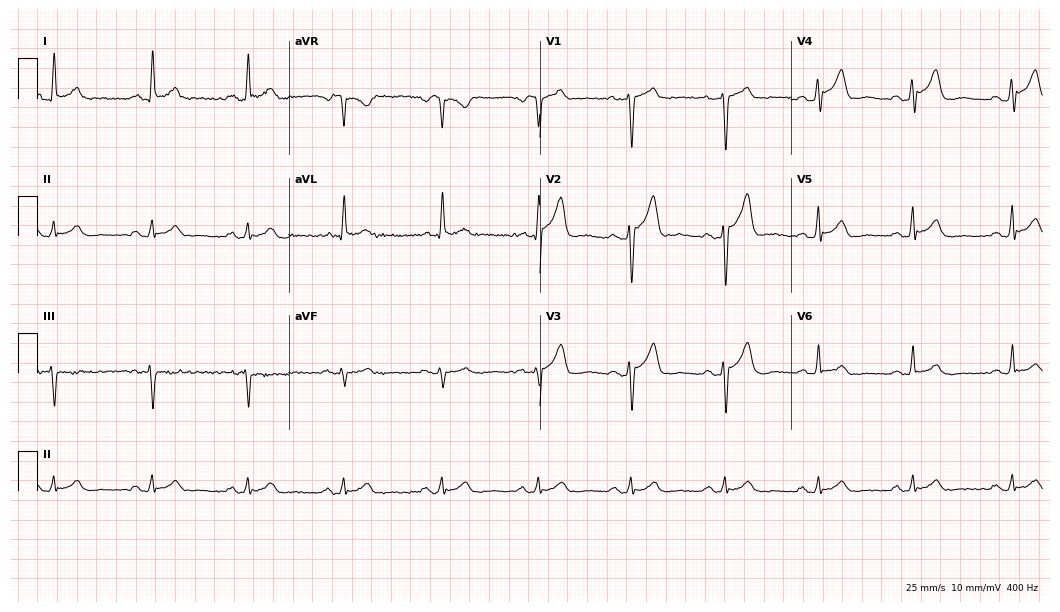
Standard 12-lead ECG recorded from a 49-year-old man (10.2-second recording at 400 Hz). None of these six findings is recorded: first-degree AV block, right bundle branch block, left bundle branch block, sinus bradycardia, atrial fibrillation, sinus tachycardia. Findings outside these six are not listed.